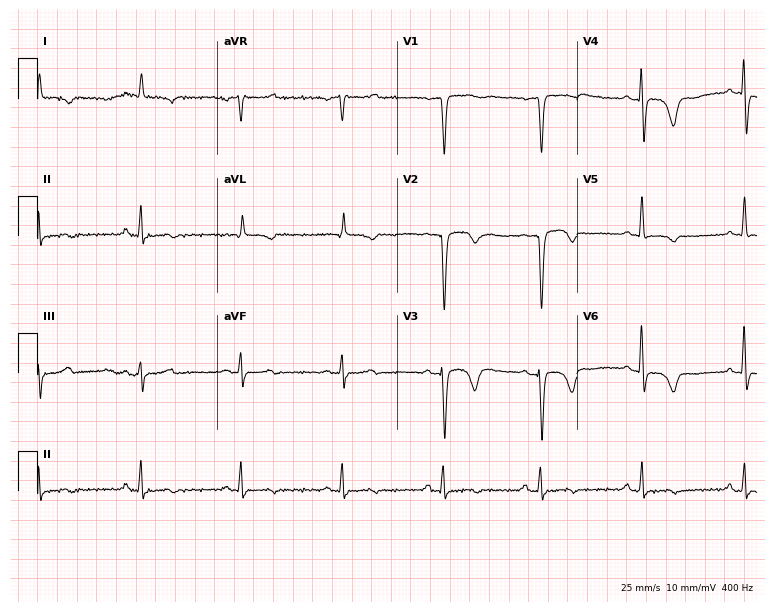
12-lead ECG (7.3-second recording at 400 Hz) from an 83-year-old woman. Screened for six findings — first-degree AV block, right bundle branch block, left bundle branch block, sinus bradycardia, atrial fibrillation, sinus tachycardia — none is recorded. Findings outside these six are not listed.